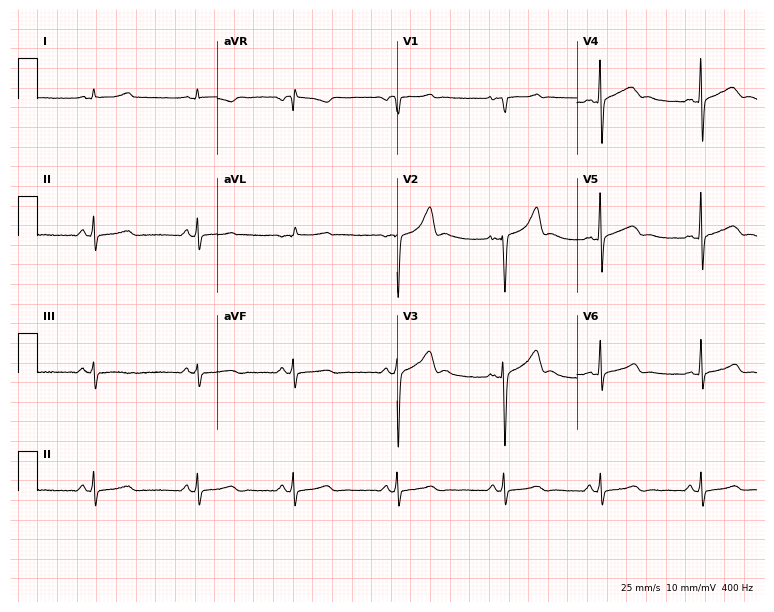
12-lead ECG from a female patient, 19 years old. Screened for six findings — first-degree AV block, right bundle branch block, left bundle branch block, sinus bradycardia, atrial fibrillation, sinus tachycardia — none is recorded. Findings outside these six are not listed.